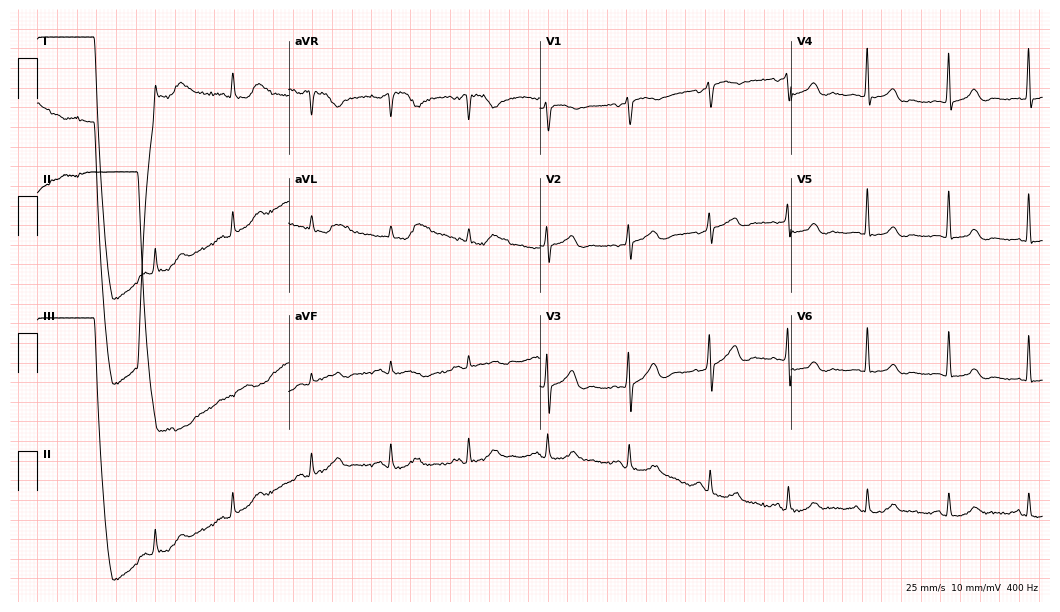
Electrocardiogram, an 82-year-old man. Overall reading on record: normal ECG.